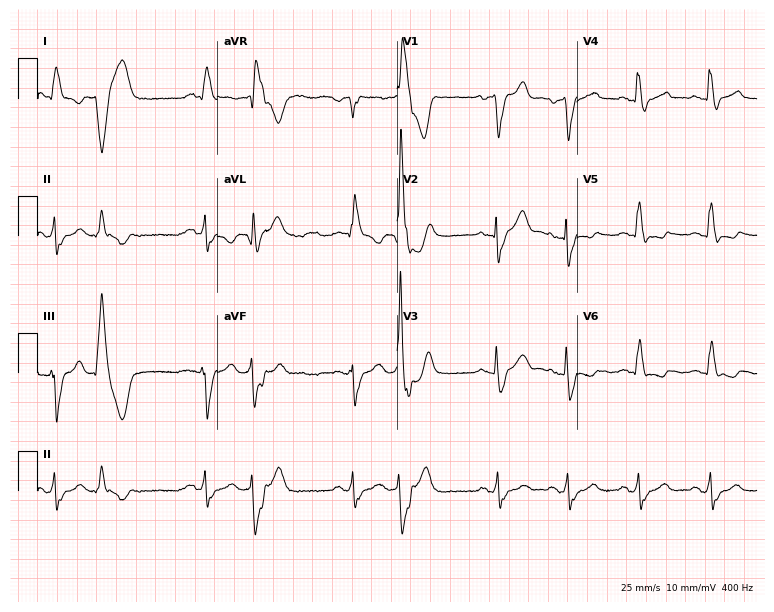
12-lead ECG (7.3-second recording at 400 Hz) from a 64-year-old male patient. Screened for six findings — first-degree AV block, right bundle branch block, left bundle branch block, sinus bradycardia, atrial fibrillation, sinus tachycardia — none is recorded.